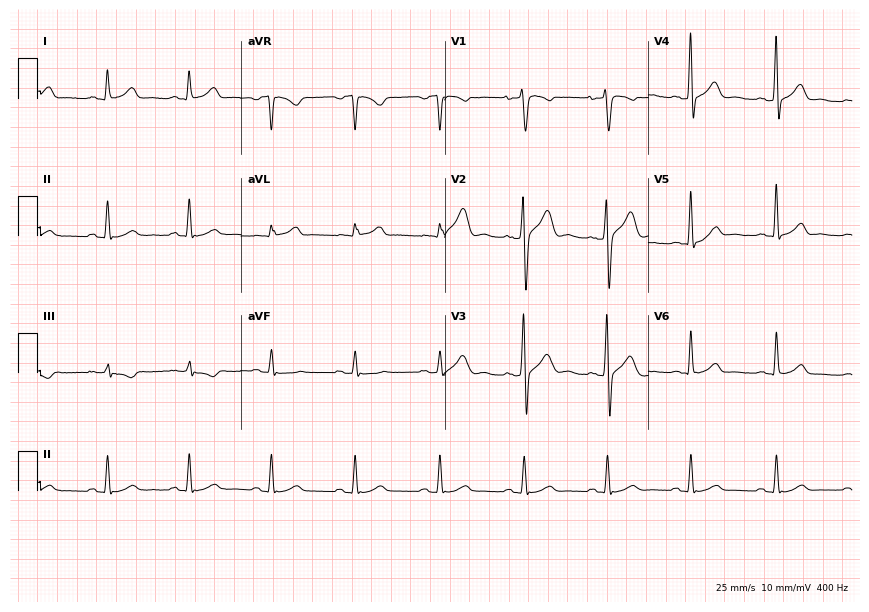
Resting 12-lead electrocardiogram. Patient: a 45-year-old male. Read as a normal ECG.